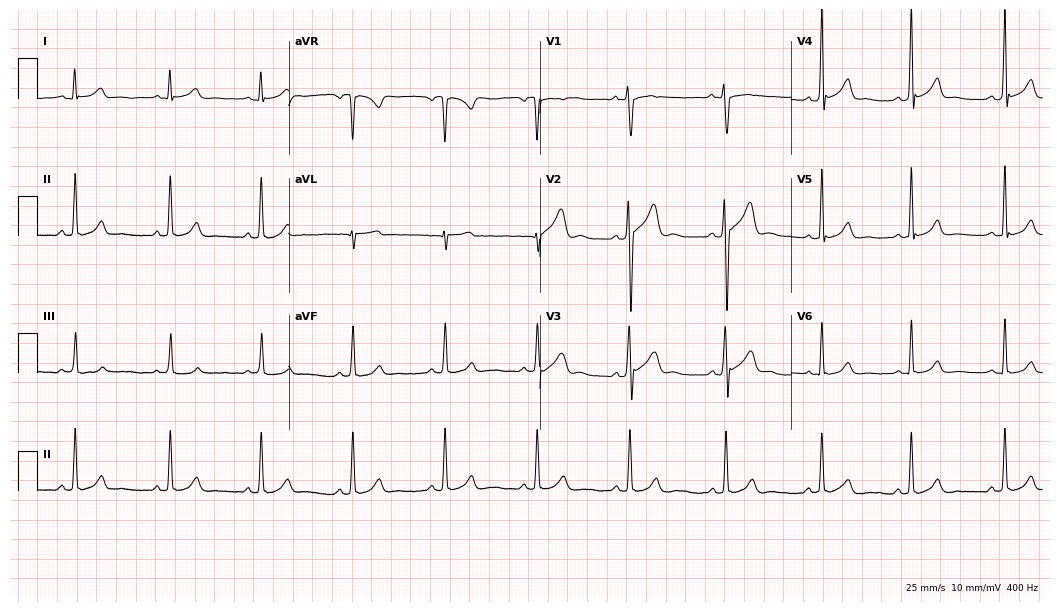
Resting 12-lead electrocardiogram. Patient: a 21-year-old male. Read as a normal ECG.